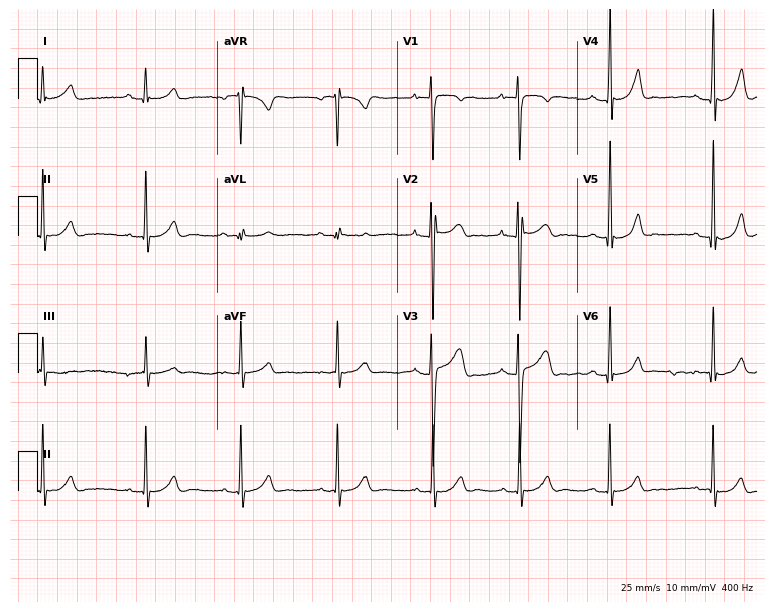
12-lead ECG from a 17-year-old male. Labelled as a normal ECG.